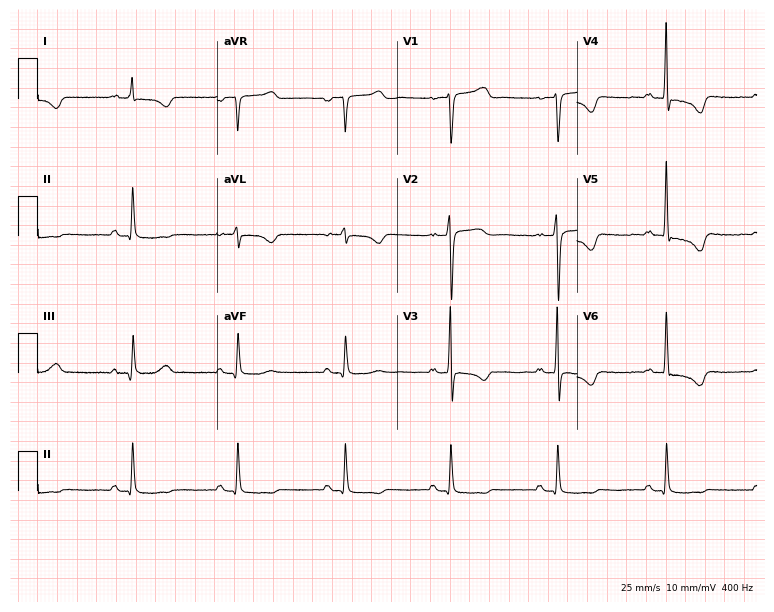
Electrocardiogram, a man, 62 years old. Of the six screened findings (first-degree AV block, right bundle branch block, left bundle branch block, sinus bradycardia, atrial fibrillation, sinus tachycardia), none is recorded. Other findings, if any, are not listed.